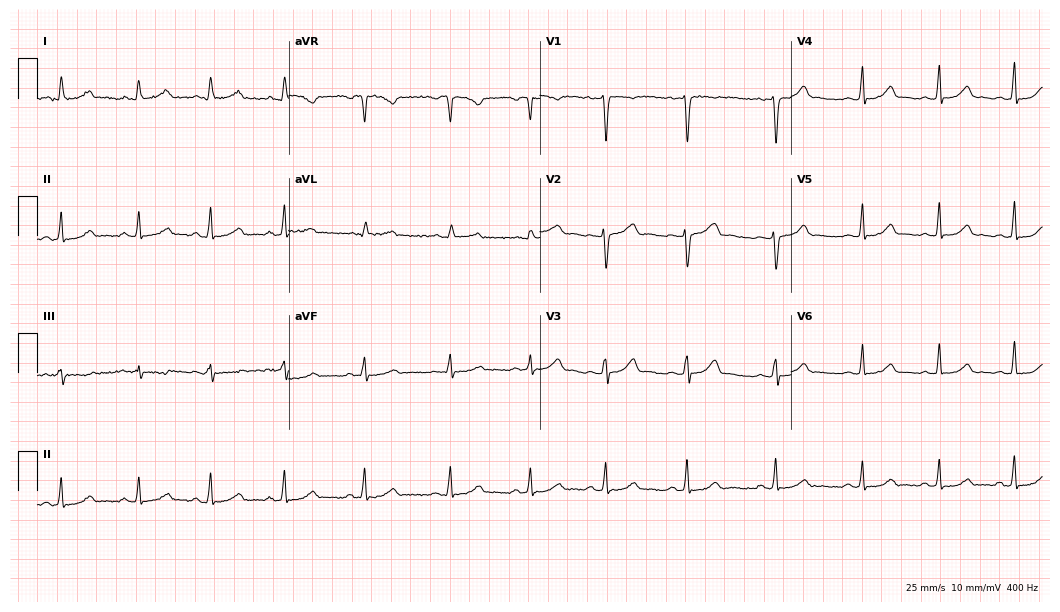
Electrocardiogram, a 26-year-old woman. Overall reading on record: normal ECG.